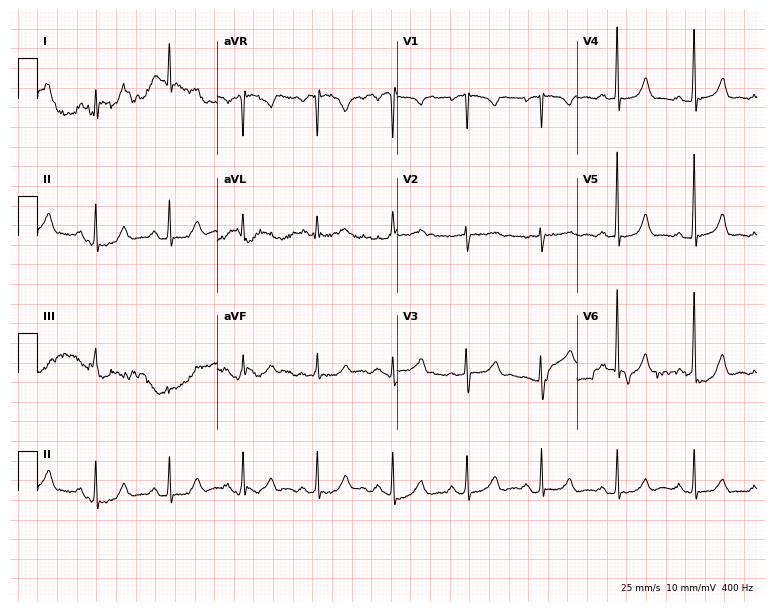
ECG (7.3-second recording at 400 Hz) — a 66-year-old female. Screened for six findings — first-degree AV block, right bundle branch block (RBBB), left bundle branch block (LBBB), sinus bradycardia, atrial fibrillation (AF), sinus tachycardia — none is recorded.